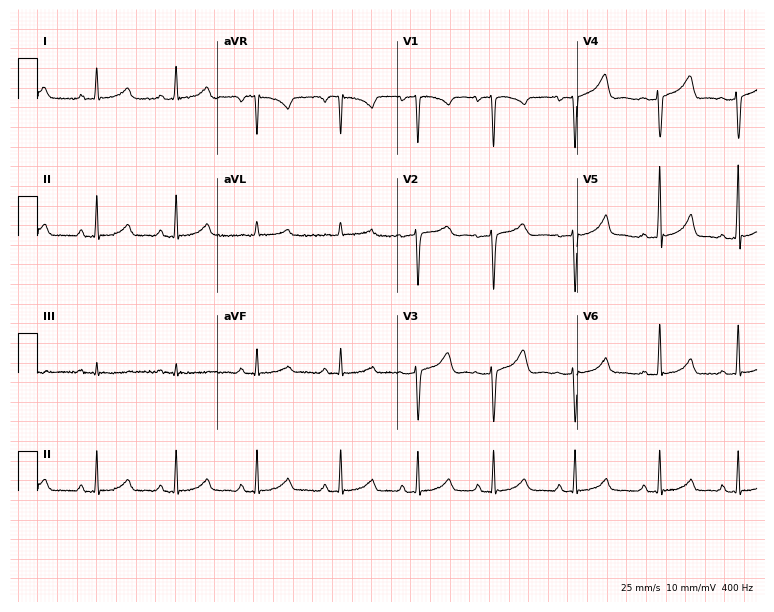
12-lead ECG (7.3-second recording at 400 Hz) from a 37-year-old female patient. Labelled as a normal ECG.